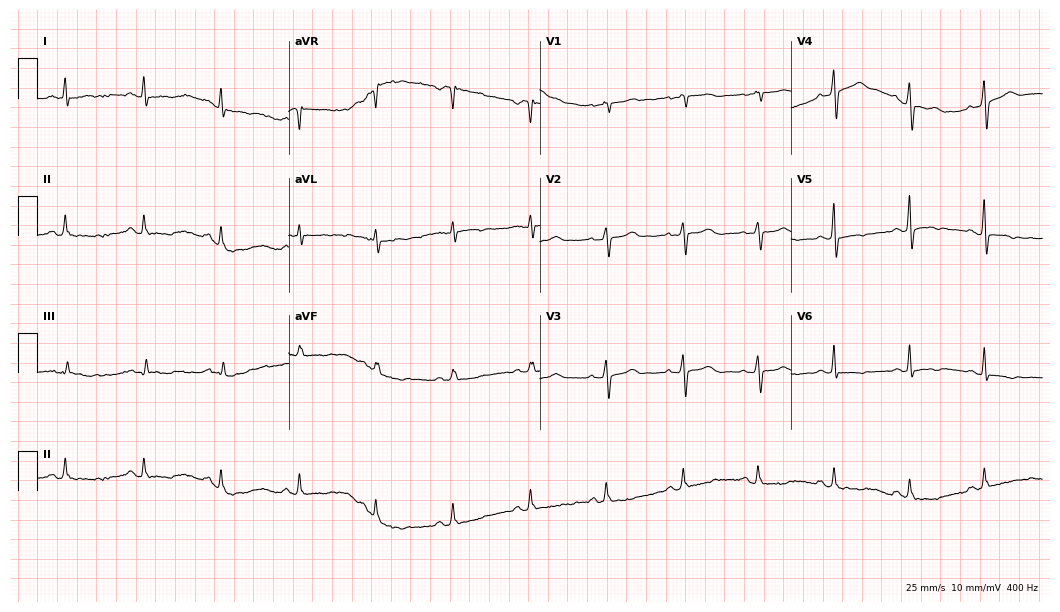
Resting 12-lead electrocardiogram. Patient: a 49-year-old woman. None of these six findings is recorded: first-degree AV block, right bundle branch block, left bundle branch block, sinus bradycardia, atrial fibrillation, sinus tachycardia.